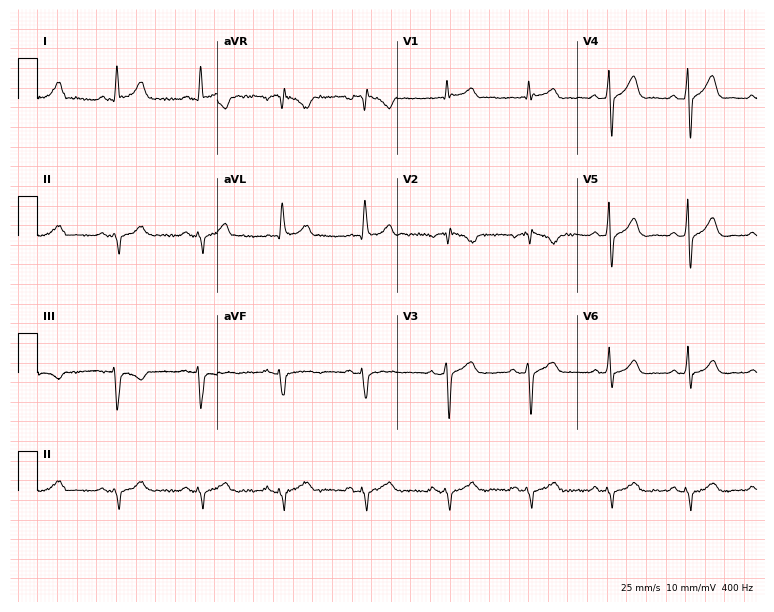
Resting 12-lead electrocardiogram. Patient: a 57-year-old male. None of these six findings is recorded: first-degree AV block, right bundle branch block (RBBB), left bundle branch block (LBBB), sinus bradycardia, atrial fibrillation (AF), sinus tachycardia.